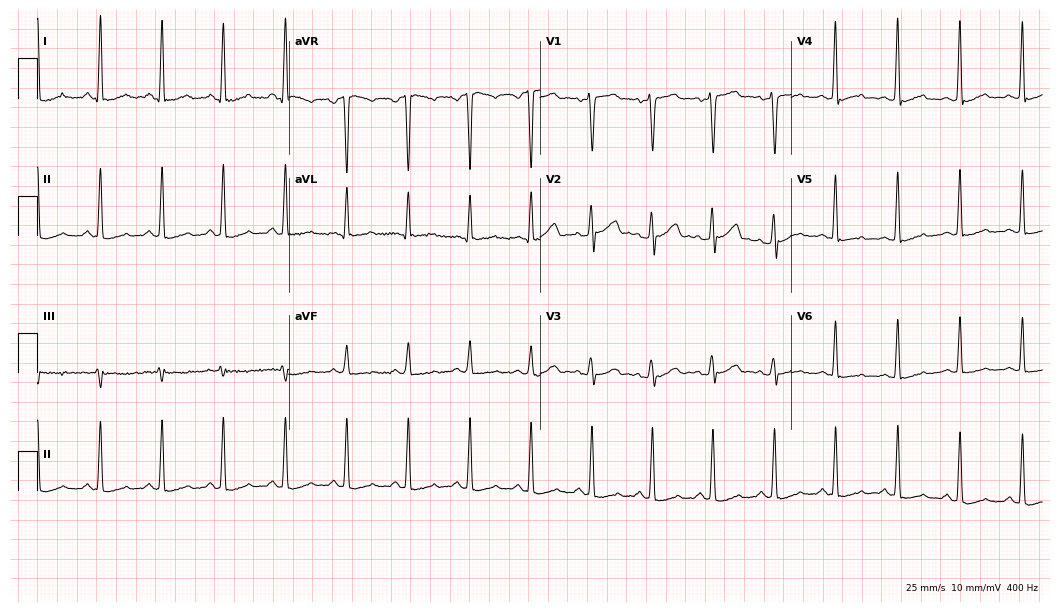
Electrocardiogram, a 50-year-old female. Of the six screened findings (first-degree AV block, right bundle branch block, left bundle branch block, sinus bradycardia, atrial fibrillation, sinus tachycardia), none is recorded. Other findings, if any, are not listed.